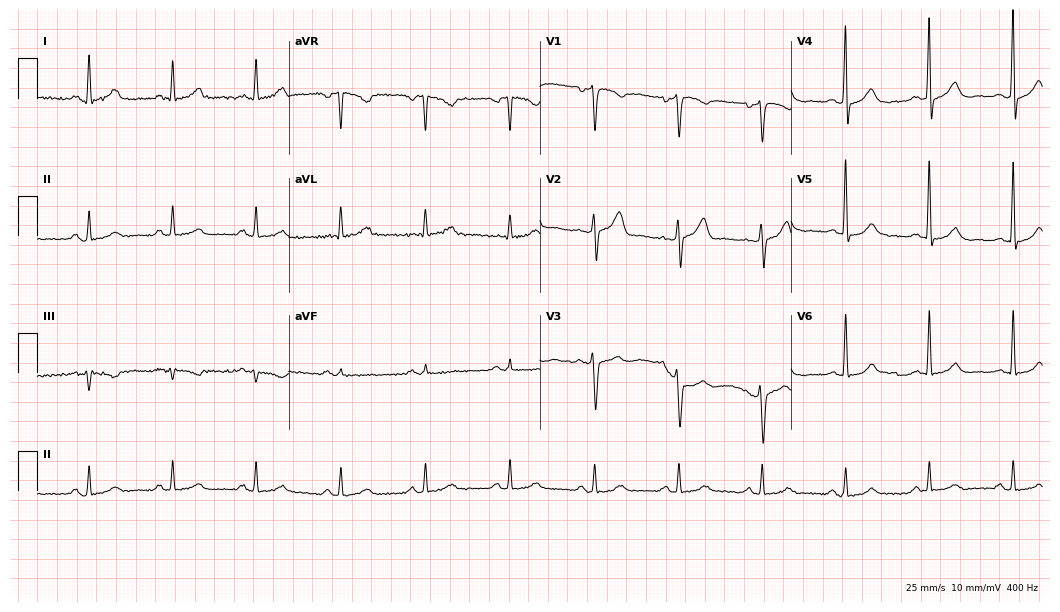
Standard 12-lead ECG recorded from a male patient, 53 years old (10.2-second recording at 400 Hz). Read as a normal ECG.